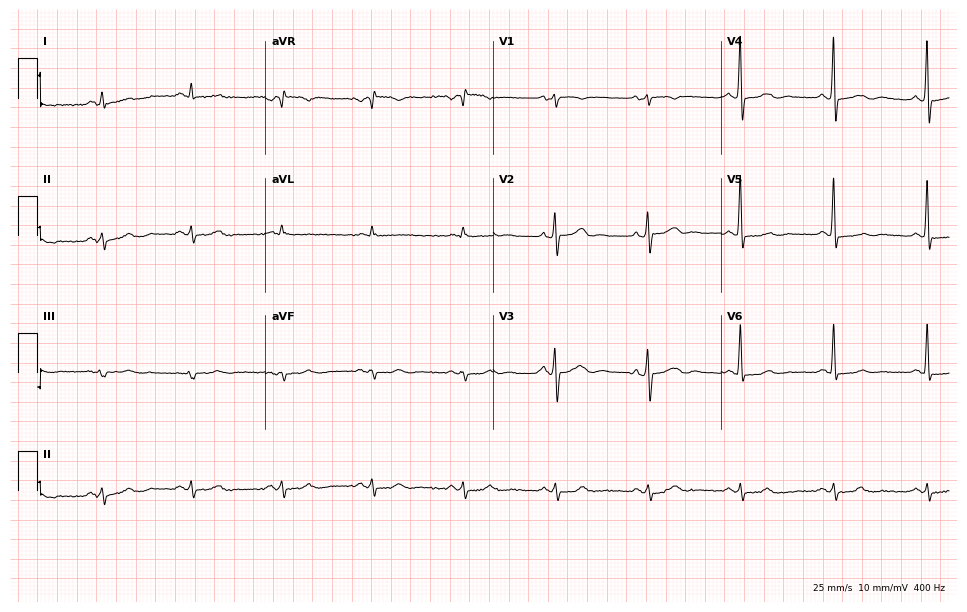
Standard 12-lead ECG recorded from a male patient, 78 years old (9.3-second recording at 400 Hz). None of these six findings is recorded: first-degree AV block, right bundle branch block, left bundle branch block, sinus bradycardia, atrial fibrillation, sinus tachycardia.